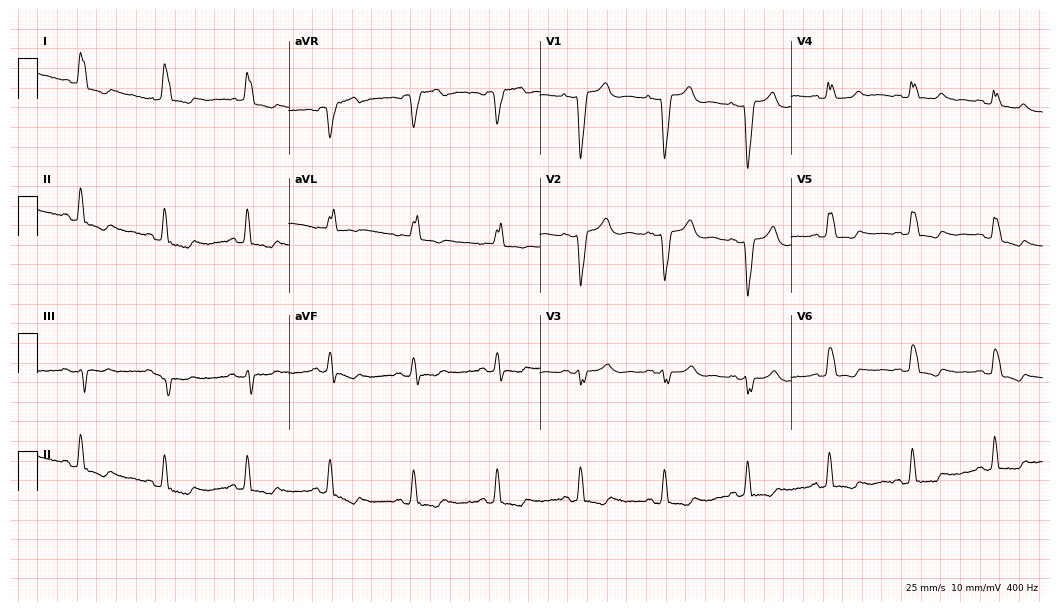
12-lead ECG from an 83-year-old female patient. Screened for six findings — first-degree AV block, right bundle branch block, left bundle branch block, sinus bradycardia, atrial fibrillation, sinus tachycardia — none is recorded.